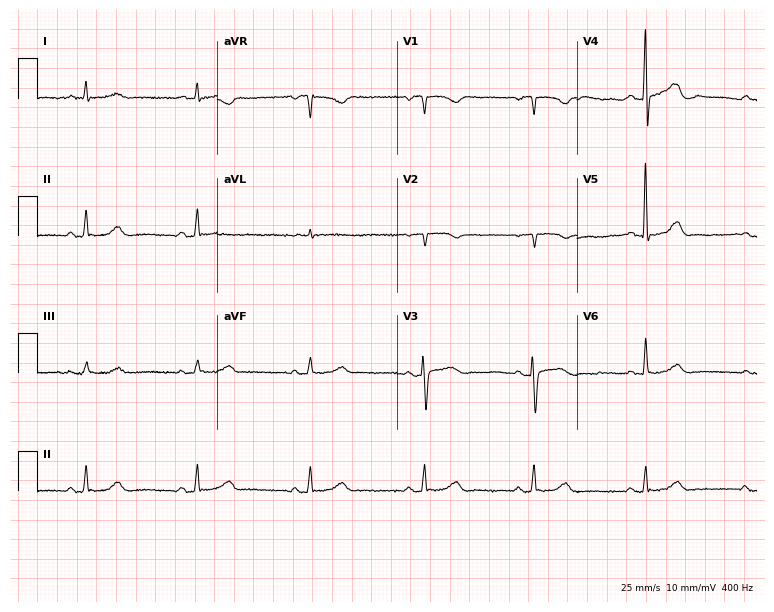
Standard 12-lead ECG recorded from a woman, 72 years old. None of these six findings is recorded: first-degree AV block, right bundle branch block, left bundle branch block, sinus bradycardia, atrial fibrillation, sinus tachycardia. Other findings, if any, are not listed.